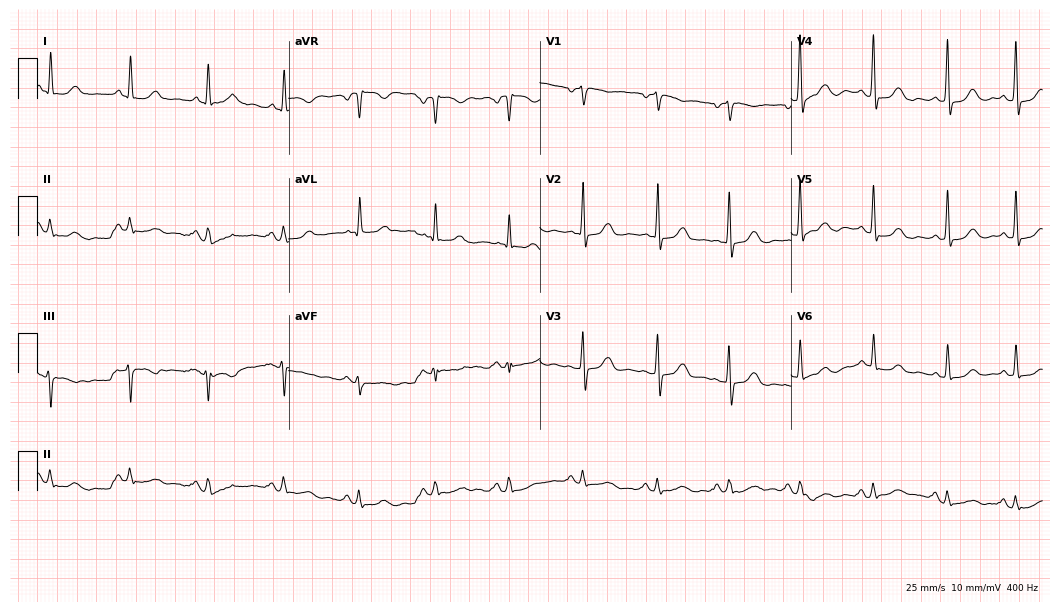
Electrocardiogram (10.2-second recording at 400 Hz), a 72-year-old female. Of the six screened findings (first-degree AV block, right bundle branch block (RBBB), left bundle branch block (LBBB), sinus bradycardia, atrial fibrillation (AF), sinus tachycardia), none is recorded.